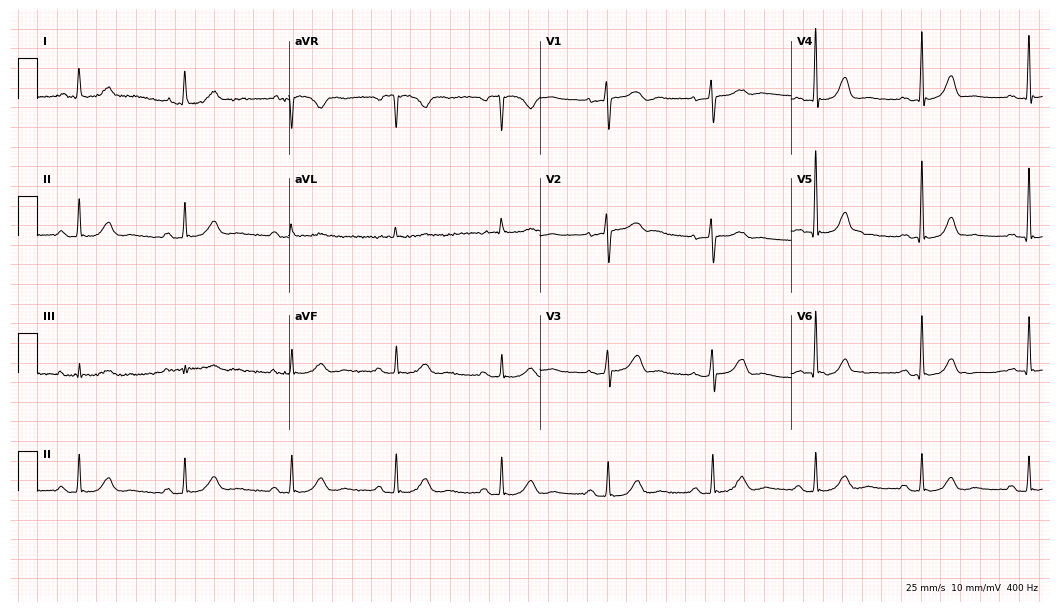
12-lead ECG from a female, 79 years old. Screened for six findings — first-degree AV block, right bundle branch block, left bundle branch block, sinus bradycardia, atrial fibrillation, sinus tachycardia — none is recorded. Only these six findings were labelled.